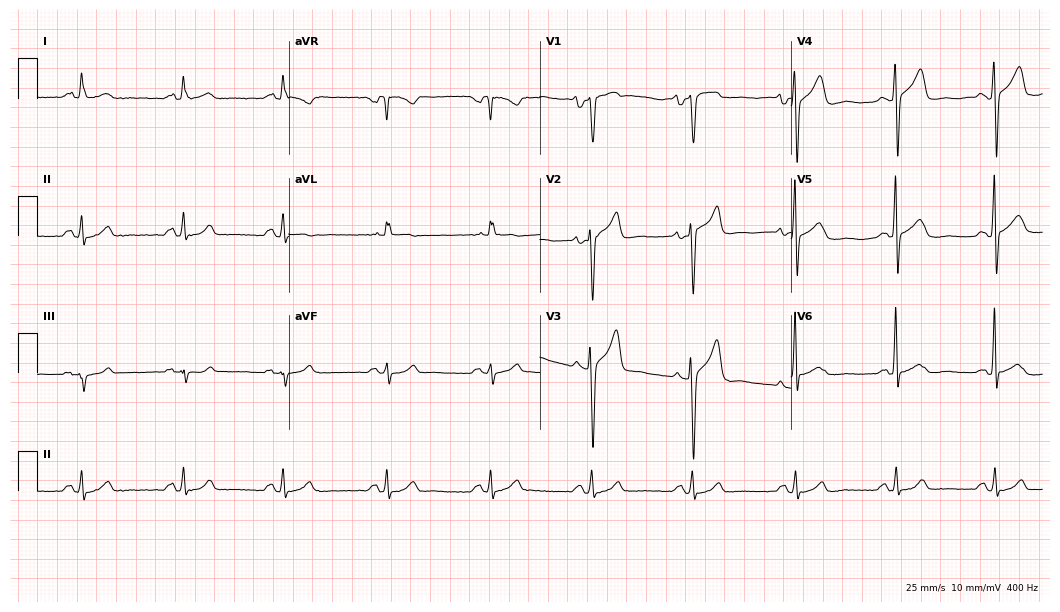
12-lead ECG (10.2-second recording at 400 Hz) from a 46-year-old man. Screened for six findings — first-degree AV block, right bundle branch block (RBBB), left bundle branch block (LBBB), sinus bradycardia, atrial fibrillation (AF), sinus tachycardia — none is recorded.